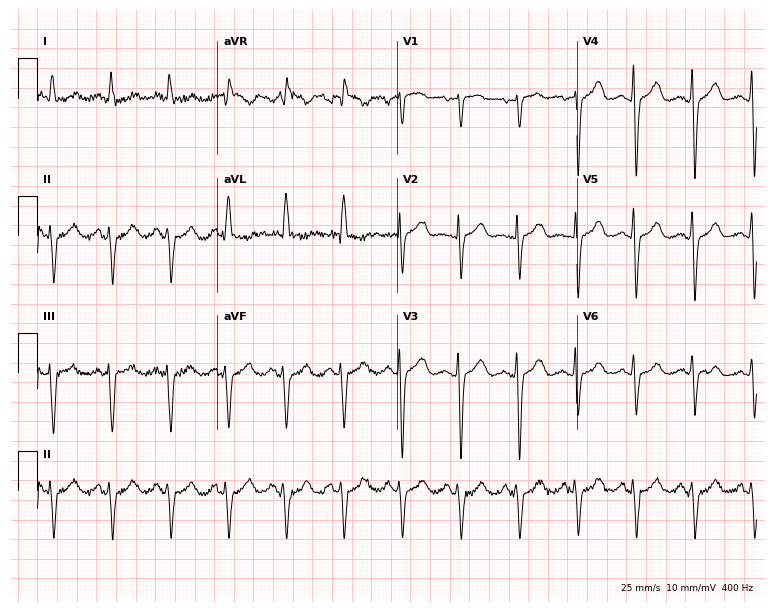
Electrocardiogram, a female patient, 70 years old. Of the six screened findings (first-degree AV block, right bundle branch block, left bundle branch block, sinus bradycardia, atrial fibrillation, sinus tachycardia), none is recorded.